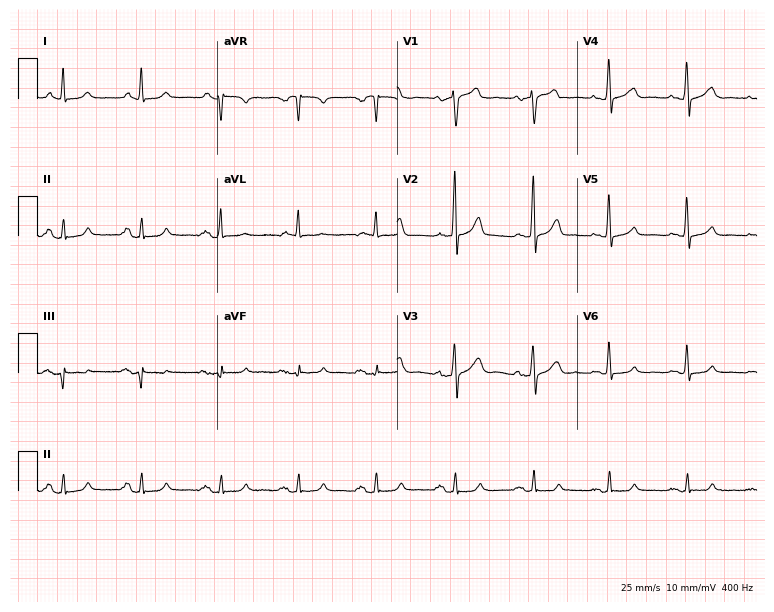
Resting 12-lead electrocardiogram. Patient: a male, 64 years old. None of these six findings is recorded: first-degree AV block, right bundle branch block, left bundle branch block, sinus bradycardia, atrial fibrillation, sinus tachycardia. Findings outside these six are not listed.